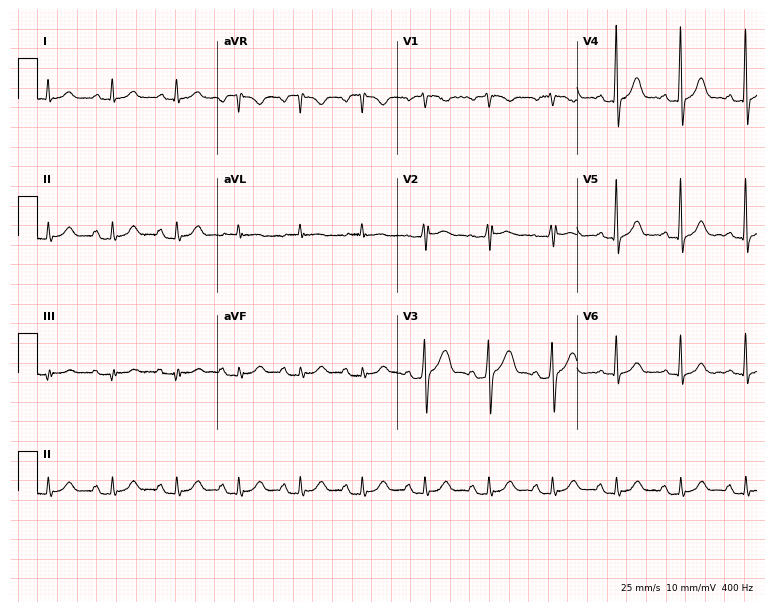
Standard 12-lead ECG recorded from a 44-year-old male. None of these six findings is recorded: first-degree AV block, right bundle branch block, left bundle branch block, sinus bradycardia, atrial fibrillation, sinus tachycardia.